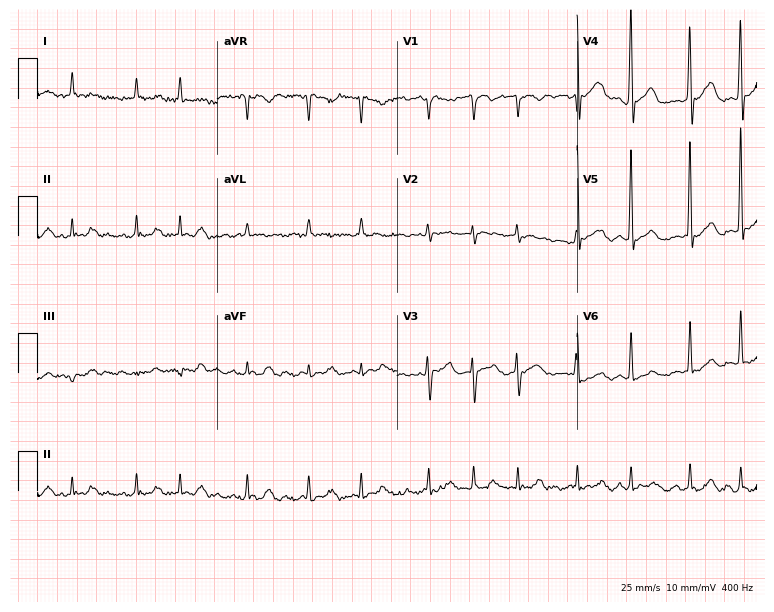
Resting 12-lead electrocardiogram (7.3-second recording at 400 Hz). Patient: an 83-year-old man. The tracing shows atrial fibrillation.